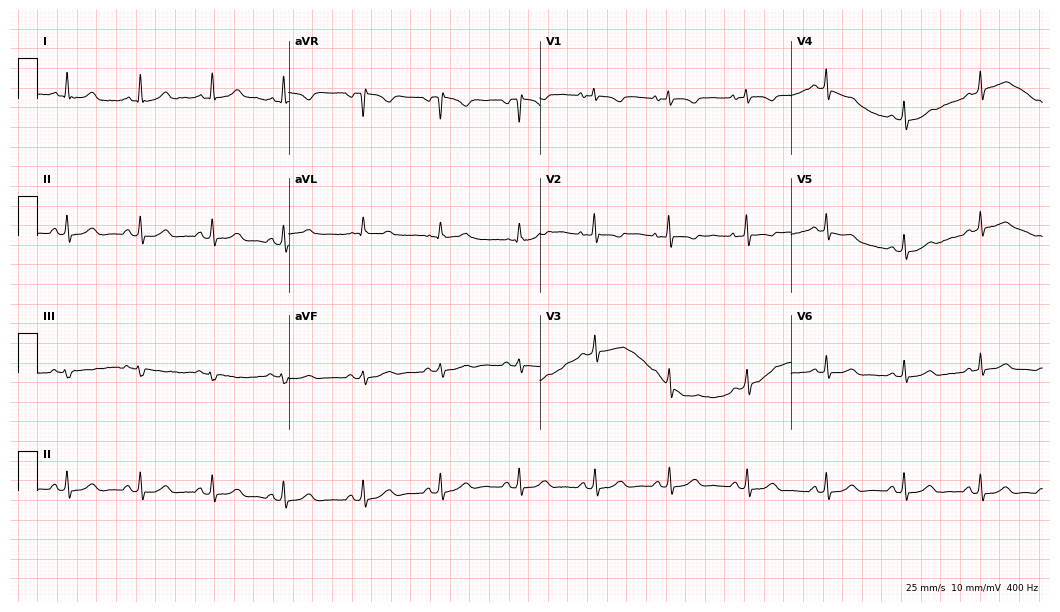
ECG — a 24-year-old female patient. Screened for six findings — first-degree AV block, right bundle branch block, left bundle branch block, sinus bradycardia, atrial fibrillation, sinus tachycardia — none is recorded. Only these six findings were labelled.